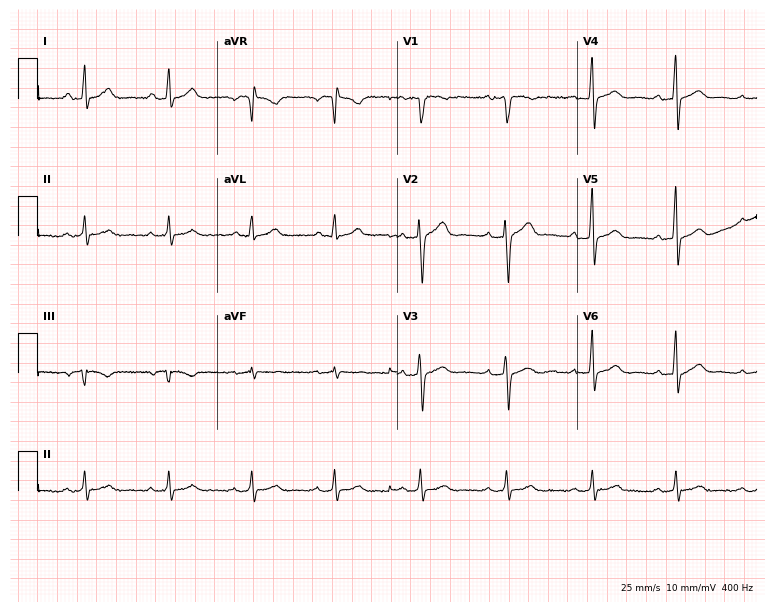
12-lead ECG from a male patient, 29 years old. Recorded interpretation: within normal limits.